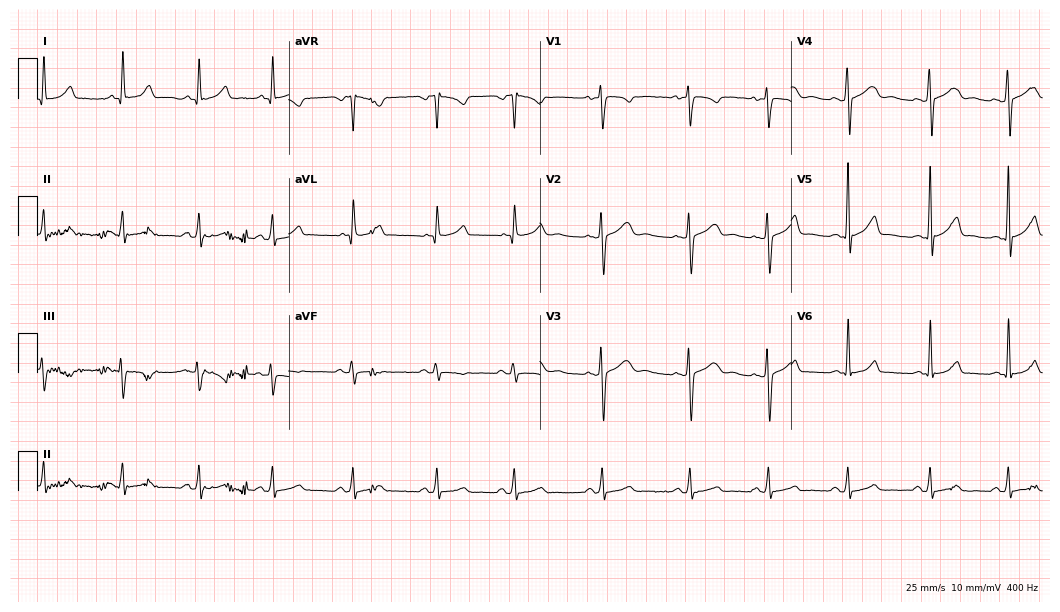
12-lead ECG from a 34-year-old woman. Labelled as a normal ECG.